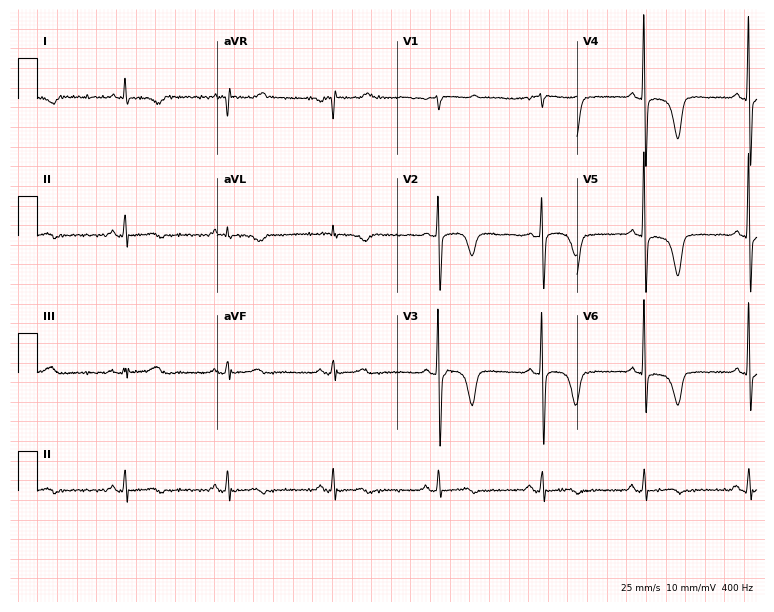
12-lead ECG (7.3-second recording at 400 Hz) from a 69-year-old woman. Labelled as a normal ECG.